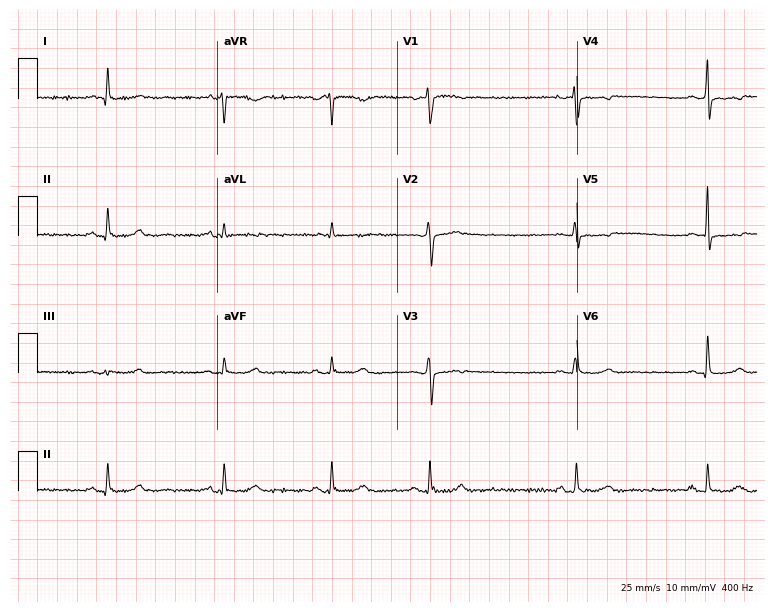
ECG — a female patient, 52 years old. Findings include sinus bradycardia (a sinus rate of 50 beats per minute or less).